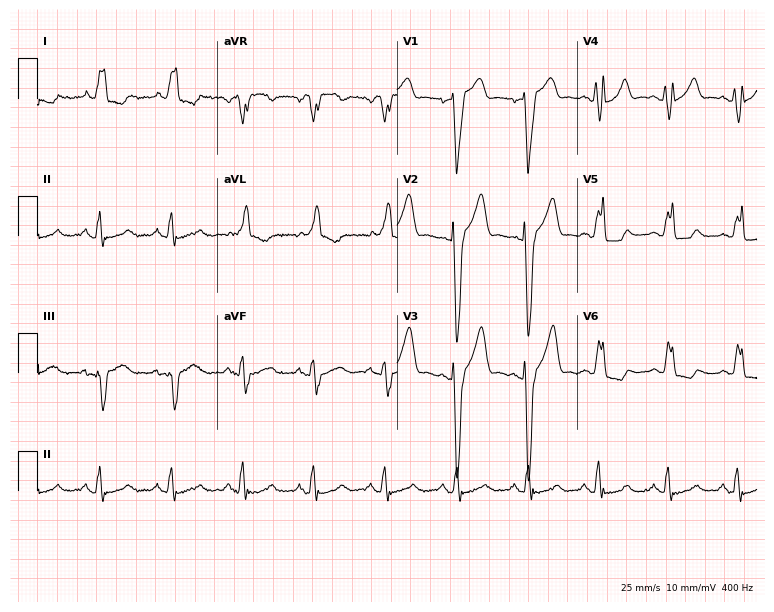
Resting 12-lead electrocardiogram (7.3-second recording at 400 Hz). Patient: a male, 84 years old. The tracing shows left bundle branch block (LBBB).